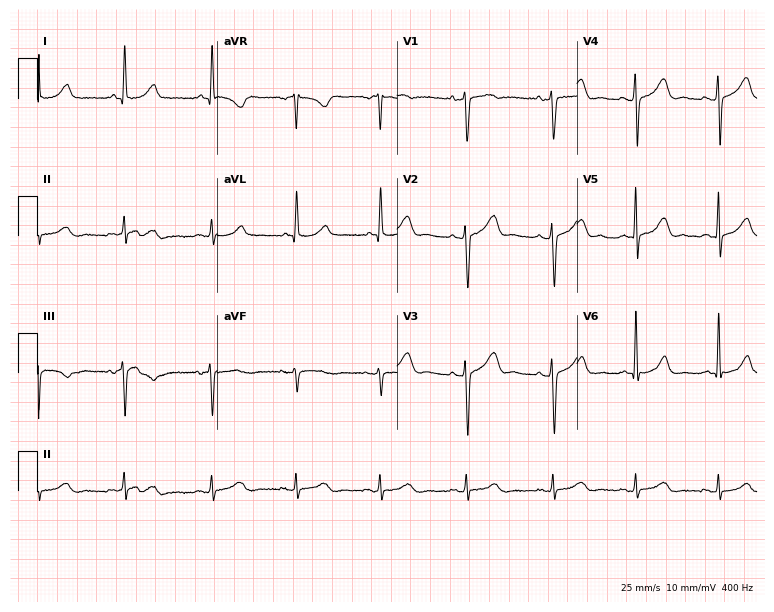
Electrocardiogram, a woman, 63 years old. Overall reading on record: normal ECG.